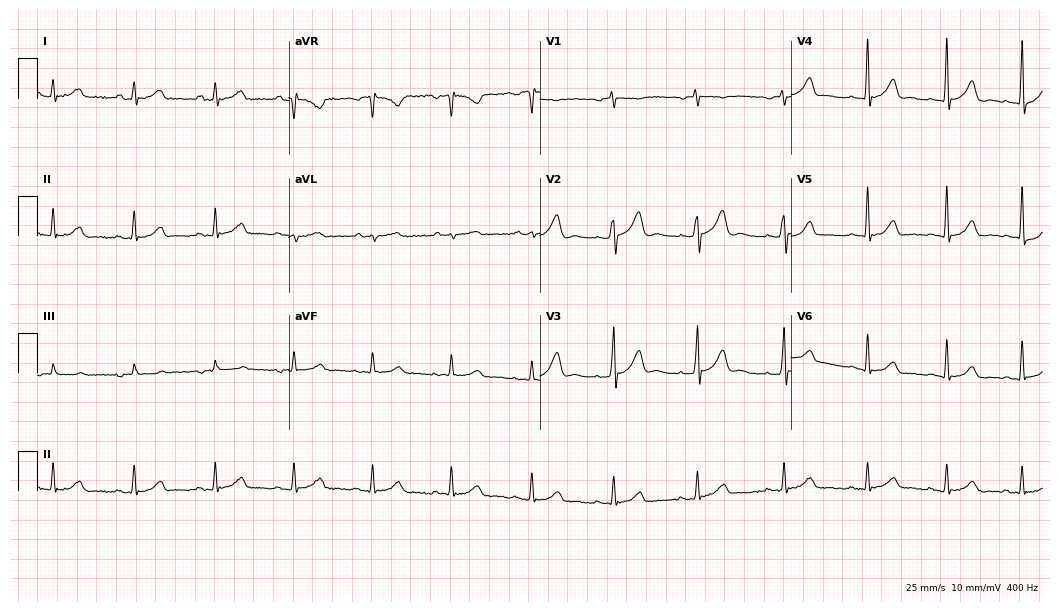
12-lead ECG from a 38-year-old female patient. Recorded interpretation: within normal limits.